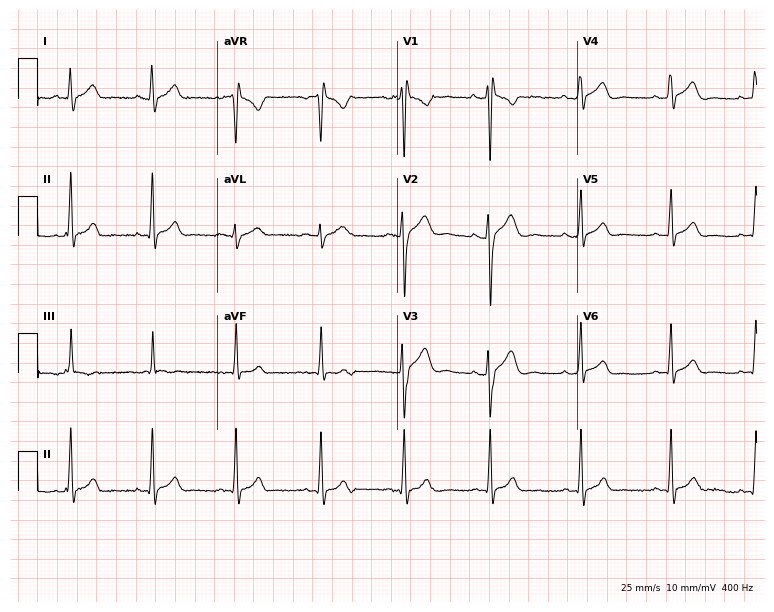
Resting 12-lead electrocardiogram. Patient: a 24-year-old male. None of these six findings is recorded: first-degree AV block, right bundle branch block, left bundle branch block, sinus bradycardia, atrial fibrillation, sinus tachycardia. Other findings, if any, are not listed.